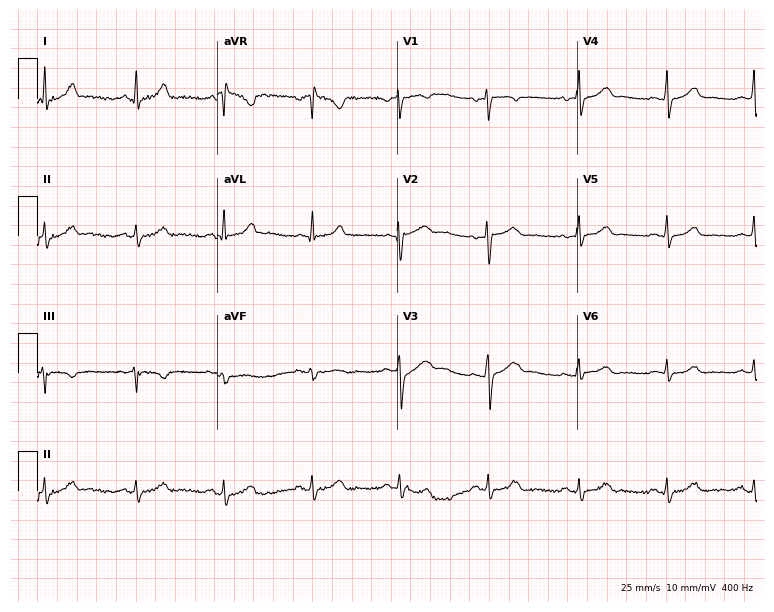
12-lead ECG from a woman, 26 years old. Recorded interpretation: within normal limits.